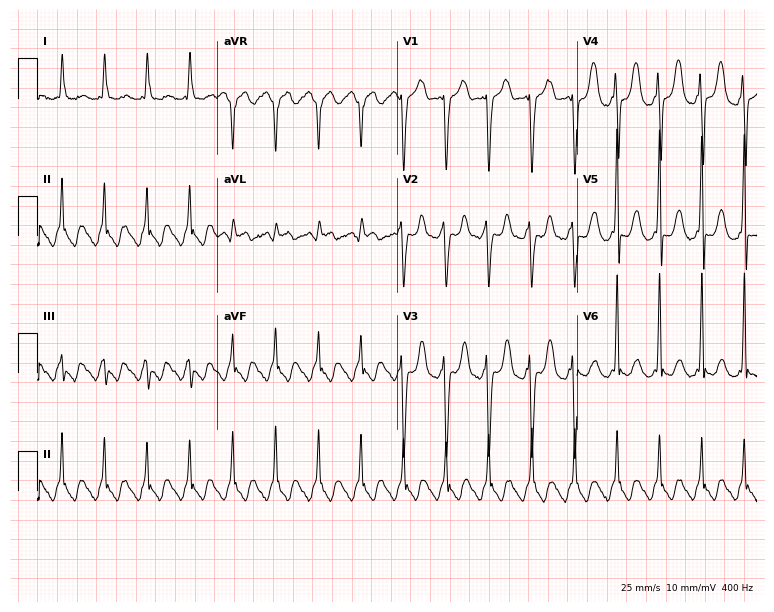
Resting 12-lead electrocardiogram (7.3-second recording at 400 Hz). Patient: a man, 87 years old. None of these six findings is recorded: first-degree AV block, right bundle branch block (RBBB), left bundle branch block (LBBB), sinus bradycardia, atrial fibrillation (AF), sinus tachycardia. Only these six findings were labelled.